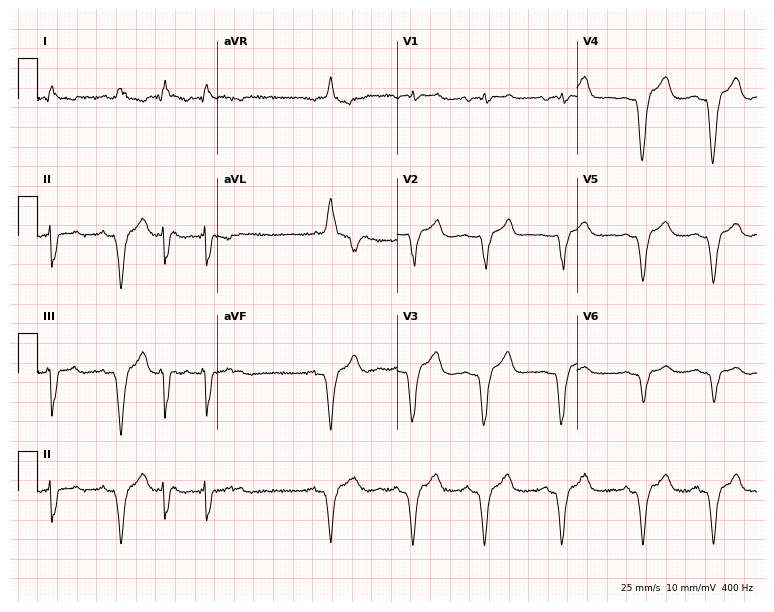
12-lead ECG (7.3-second recording at 400 Hz) from a woman, 59 years old. Screened for six findings — first-degree AV block, right bundle branch block, left bundle branch block, sinus bradycardia, atrial fibrillation, sinus tachycardia — none is recorded.